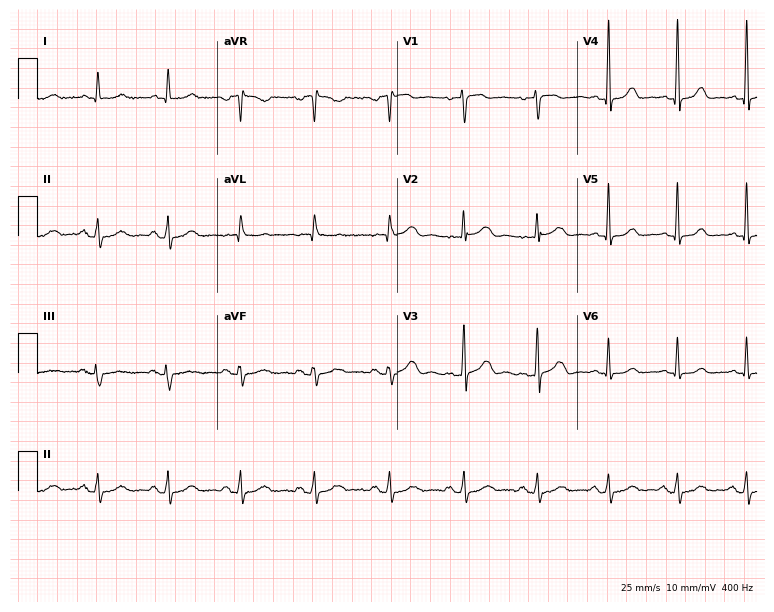
Electrocardiogram (7.3-second recording at 400 Hz), a woman, 62 years old. Overall reading on record: normal ECG.